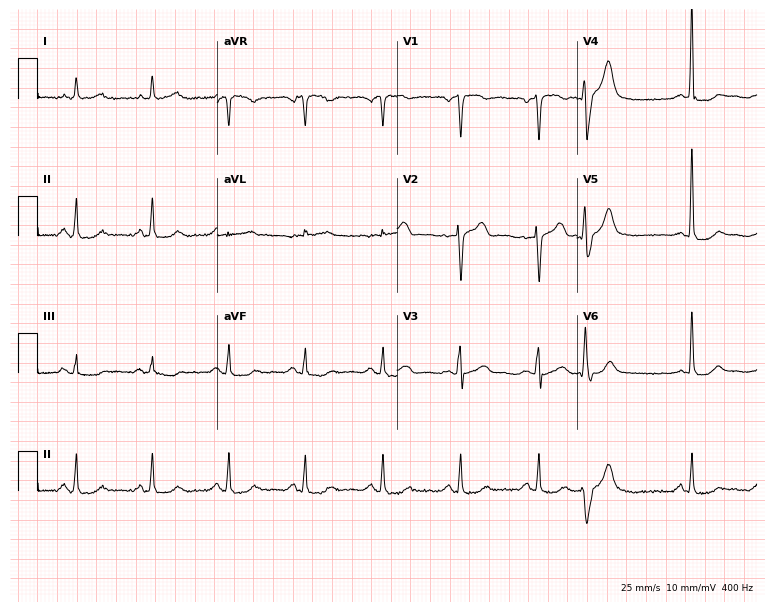
12-lead ECG from a man, 67 years old. No first-degree AV block, right bundle branch block (RBBB), left bundle branch block (LBBB), sinus bradycardia, atrial fibrillation (AF) or sinus tachycardia recorded for this tracing. Other findings, if any, are not listed.